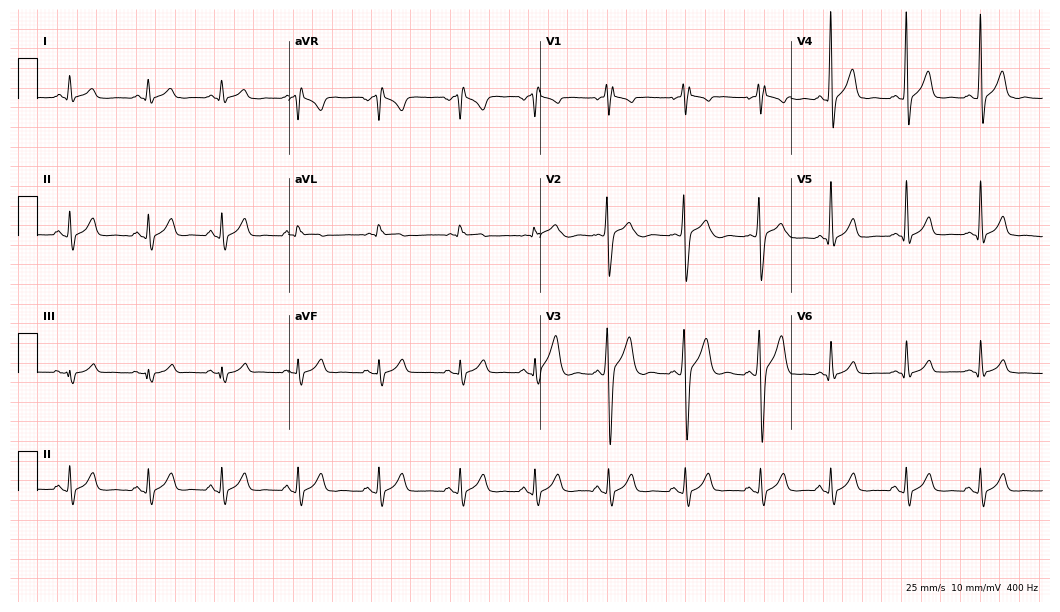
Resting 12-lead electrocardiogram (10.2-second recording at 400 Hz). Patient: a man, 20 years old. None of these six findings is recorded: first-degree AV block, right bundle branch block, left bundle branch block, sinus bradycardia, atrial fibrillation, sinus tachycardia. Findings outside these six are not listed.